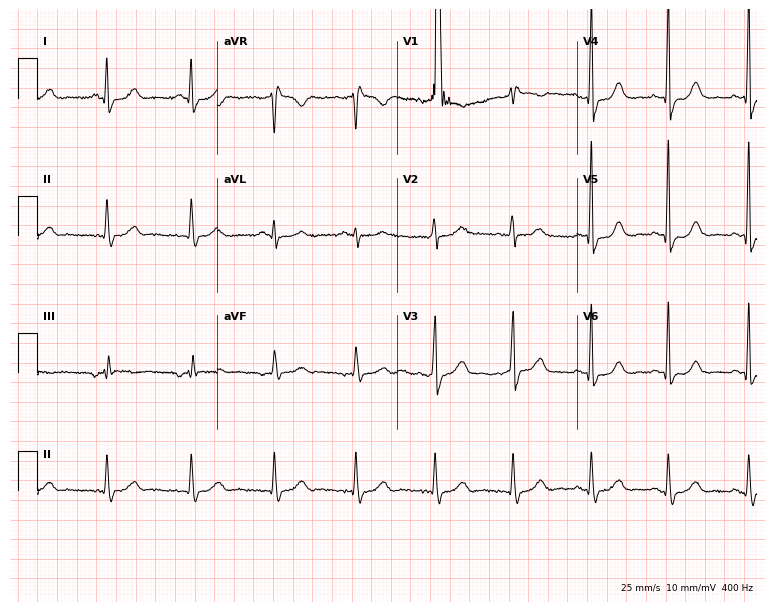
ECG (7.3-second recording at 400 Hz) — a 56-year-old man. Screened for six findings — first-degree AV block, right bundle branch block, left bundle branch block, sinus bradycardia, atrial fibrillation, sinus tachycardia — none is recorded.